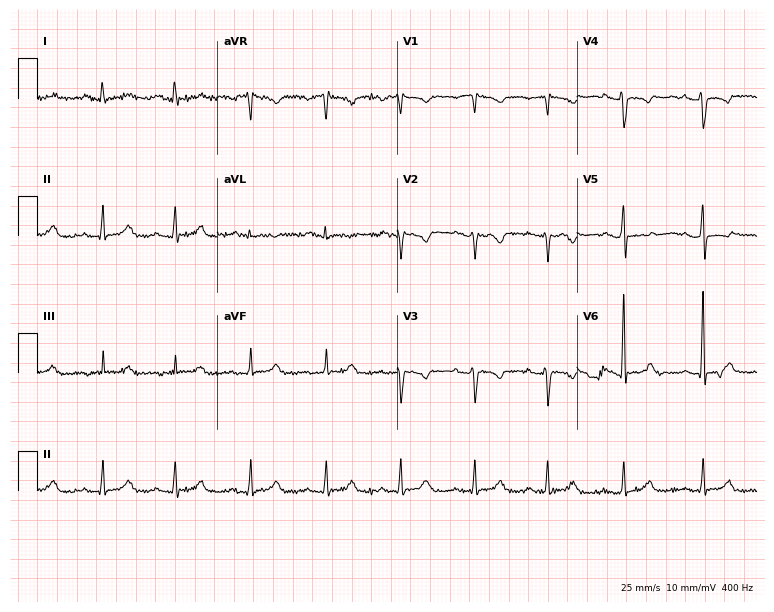
ECG (7.3-second recording at 400 Hz) — a 27-year-old female patient. Screened for six findings — first-degree AV block, right bundle branch block (RBBB), left bundle branch block (LBBB), sinus bradycardia, atrial fibrillation (AF), sinus tachycardia — none is recorded.